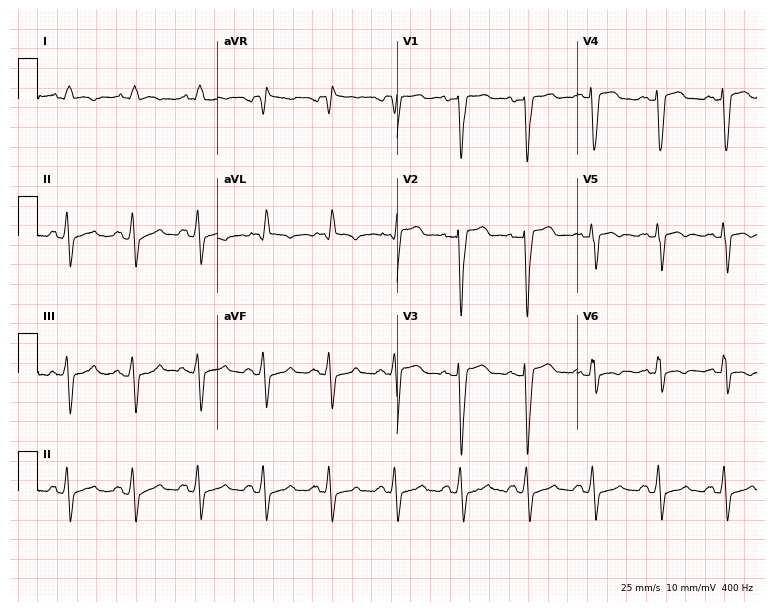
12-lead ECG (7.3-second recording at 400 Hz) from a 50-year-old female. Screened for six findings — first-degree AV block, right bundle branch block, left bundle branch block, sinus bradycardia, atrial fibrillation, sinus tachycardia — none is recorded.